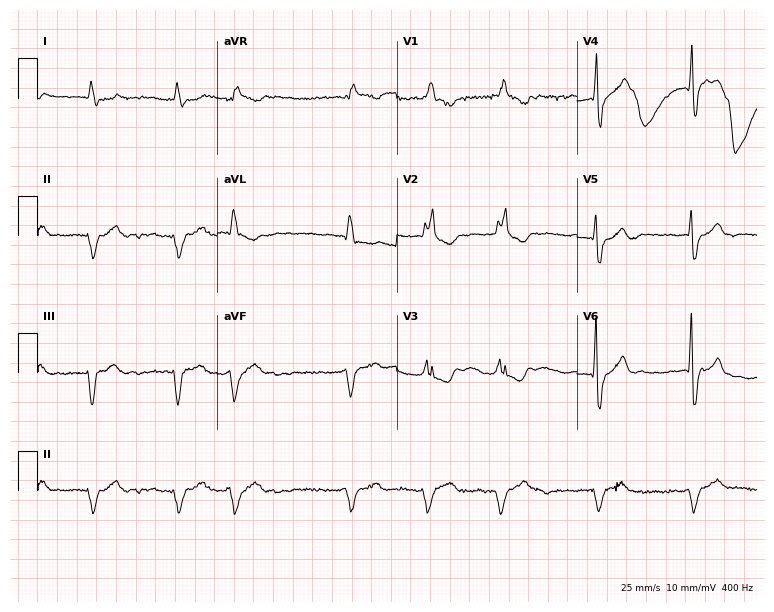
12-lead ECG from a 75-year-old man. Shows right bundle branch block, atrial fibrillation.